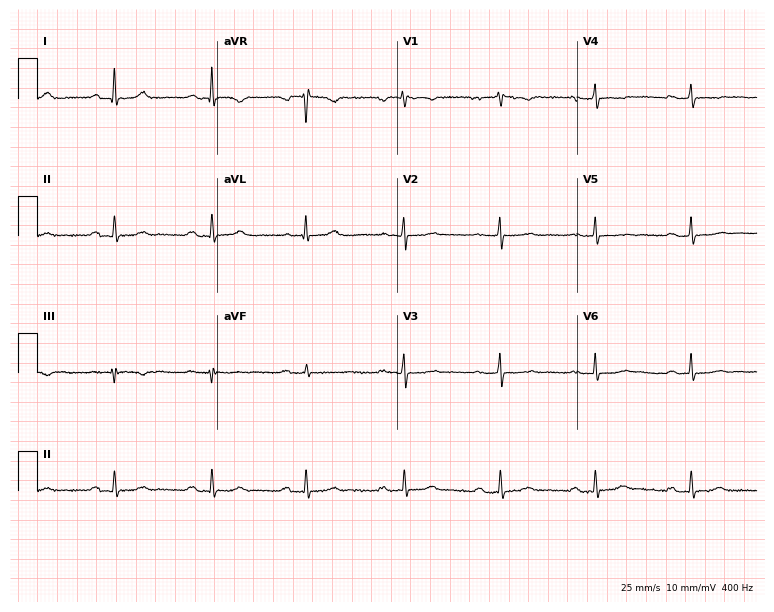
Electrocardiogram, a 37-year-old female. Of the six screened findings (first-degree AV block, right bundle branch block (RBBB), left bundle branch block (LBBB), sinus bradycardia, atrial fibrillation (AF), sinus tachycardia), none is recorded.